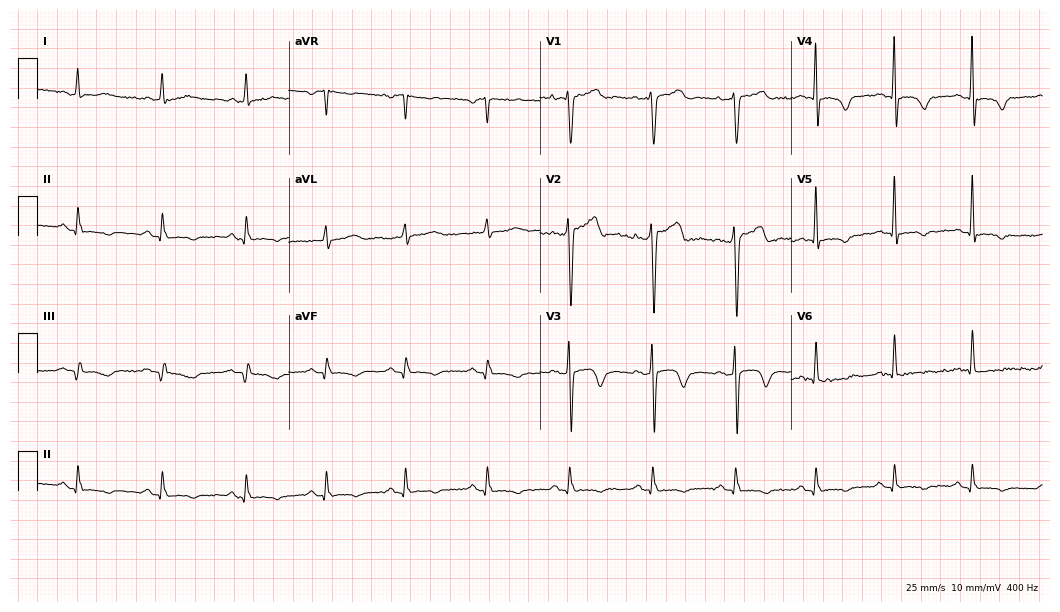
ECG (10.2-second recording at 400 Hz) — a male patient, 39 years old. Screened for six findings — first-degree AV block, right bundle branch block, left bundle branch block, sinus bradycardia, atrial fibrillation, sinus tachycardia — none is recorded. Other findings, if any, are not listed.